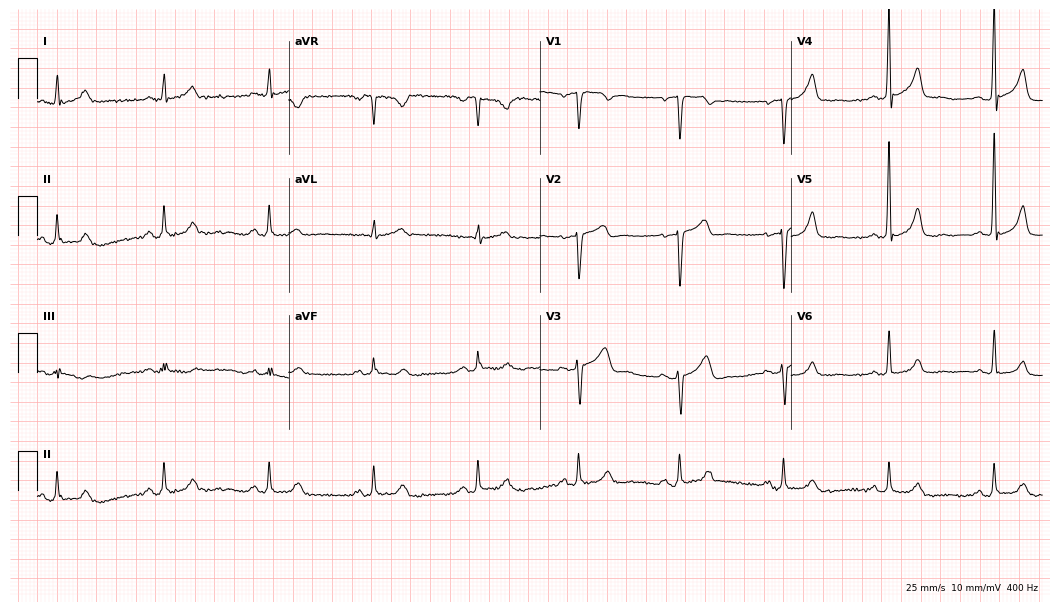
Resting 12-lead electrocardiogram. Patient: a 58-year-old man. None of these six findings is recorded: first-degree AV block, right bundle branch block (RBBB), left bundle branch block (LBBB), sinus bradycardia, atrial fibrillation (AF), sinus tachycardia.